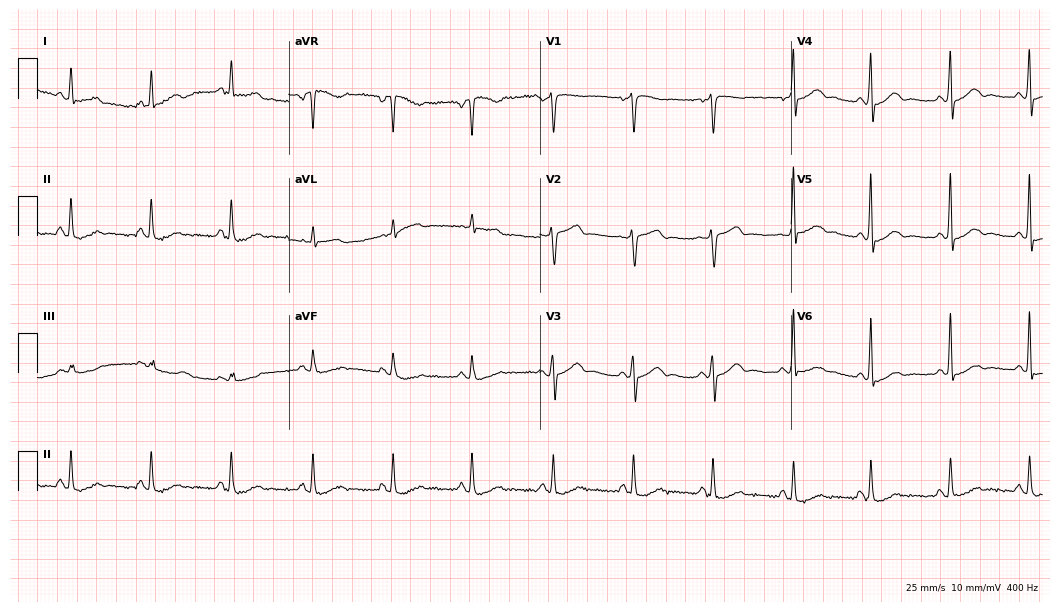
Resting 12-lead electrocardiogram (10.2-second recording at 400 Hz). Patient: a female, 53 years old. Read as a normal ECG.